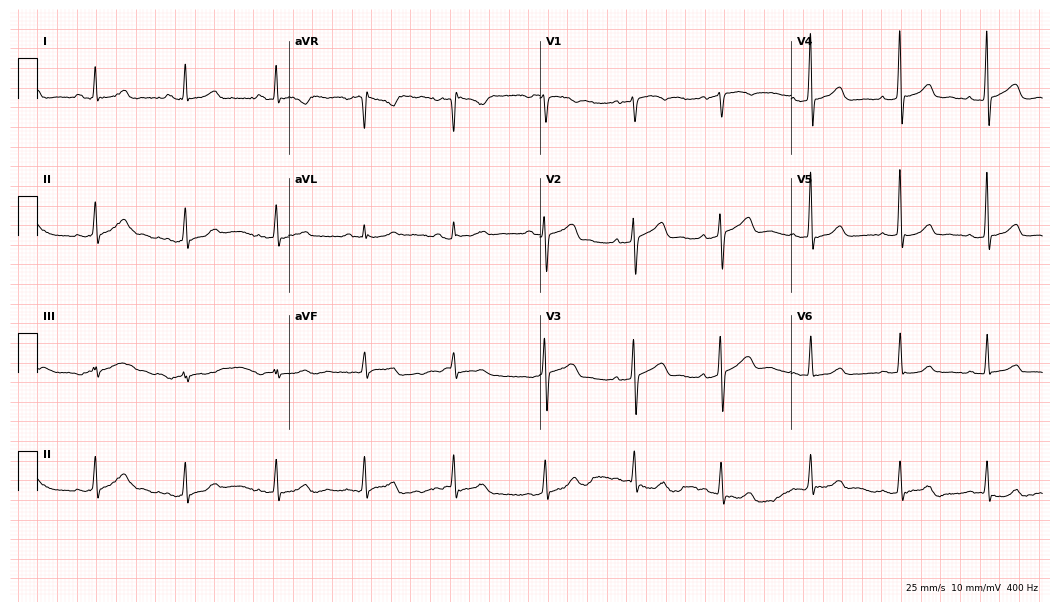
Electrocardiogram, a 47-year-old female patient. Overall reading on record: normal ECG.